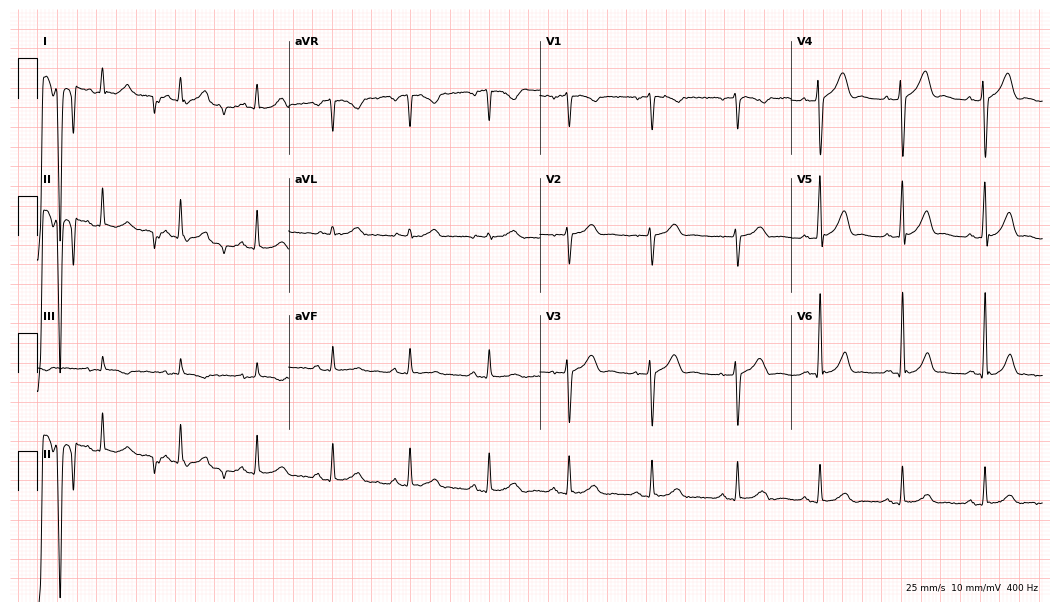
Electrocardiogram, a 34-year-old male. Overall reading on record: normal ECG.